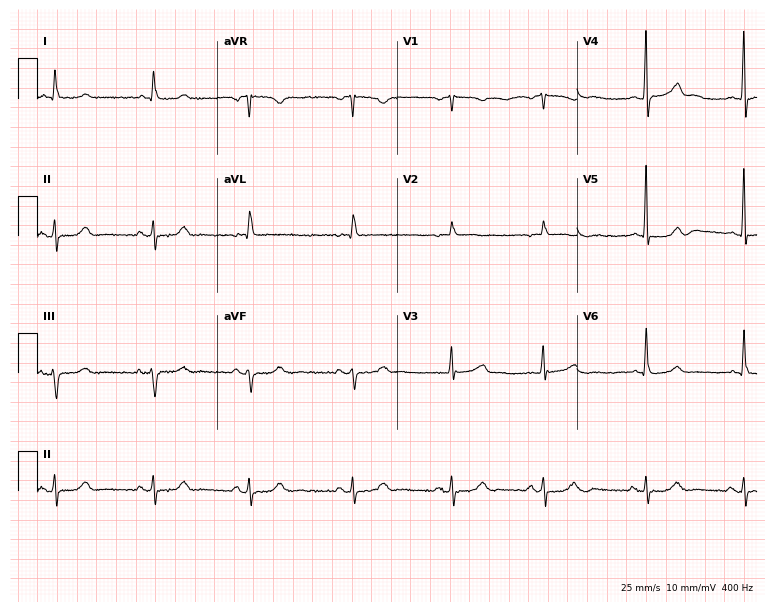
12-lead ECG from a 79-year-old man (7.3-second recording at 400 Hz). Recorded interpretation: within normal limits.